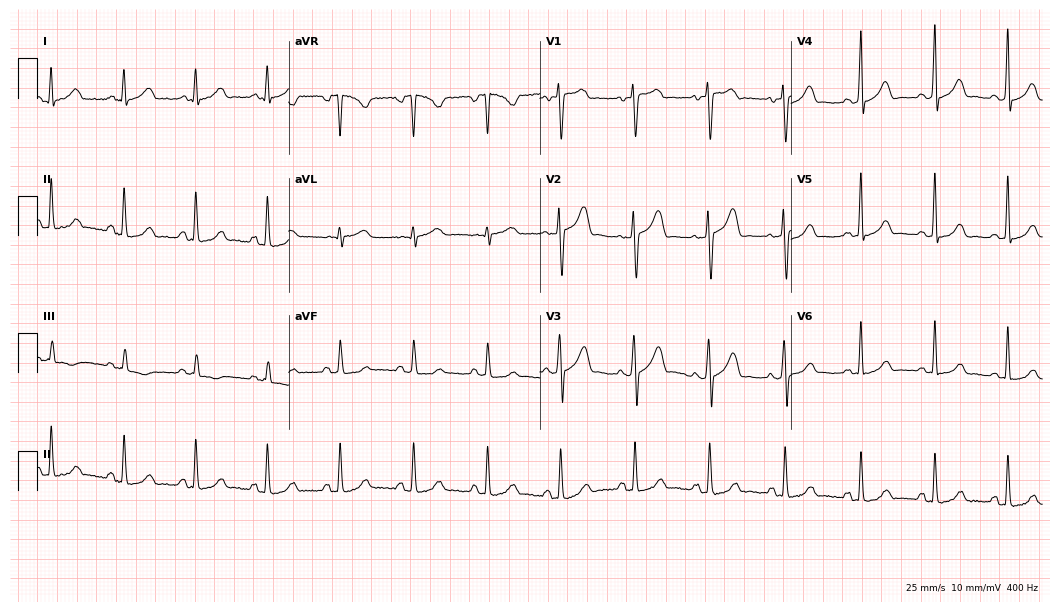
Standard 12-lead ECG recorded from a woman, 32 years old. Read as a normal ECG.